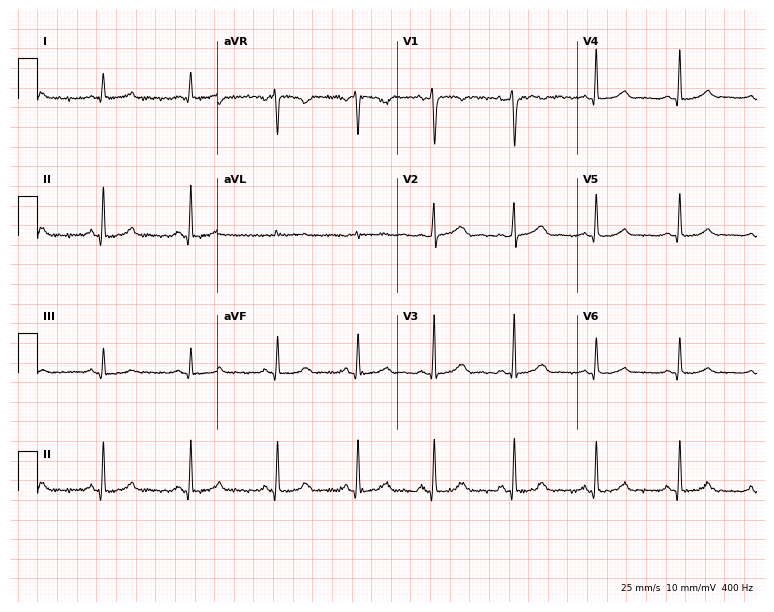
12-lead ECG (7.3-second recording at 400 Hz) from an 84-year-old woman. Labelled as a normal ECG.